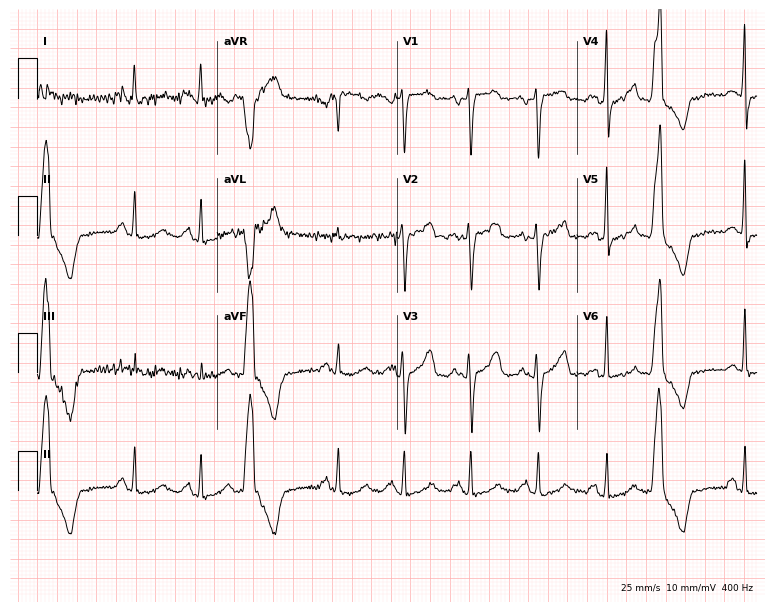
Resting 12-lead electrocardiogram (7.3-second recording at 400 Hz). Patient: a woman, 47 years old. None of these six findings is recorded: first-degree AV block, right bundle branch block, left bundle branch block, sinus bradycardia, atrial fibrillation, sinus tachycardia. Other findings, if any, are not listed.